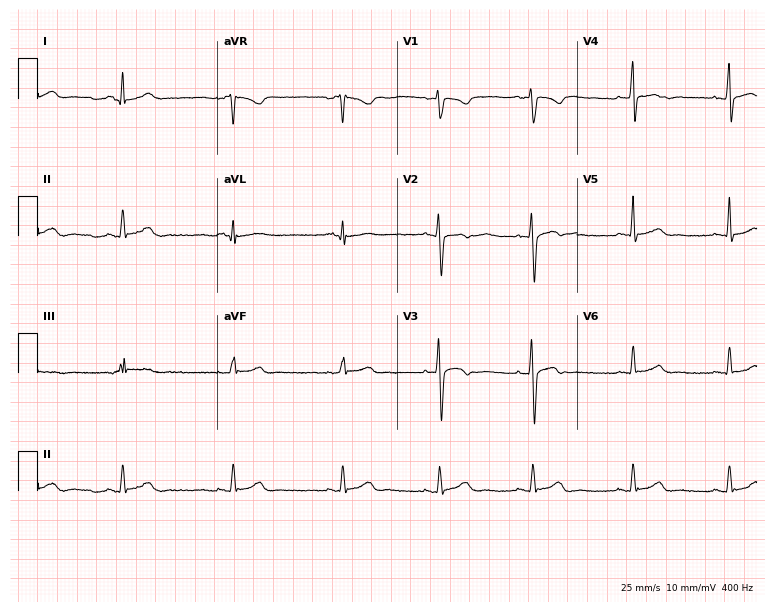
Electrocardiogram (7.3-second recording at 400 Hz), a 22-year-old female. Of the six screened findings (first-degree AV block, right bundle branch block (RBBB), left bundle branch block (LBBB), sinus bradycardia, atrial fibrillation (AF), sinus tachycardia), none is recorded. Findings outside these six are not listed.